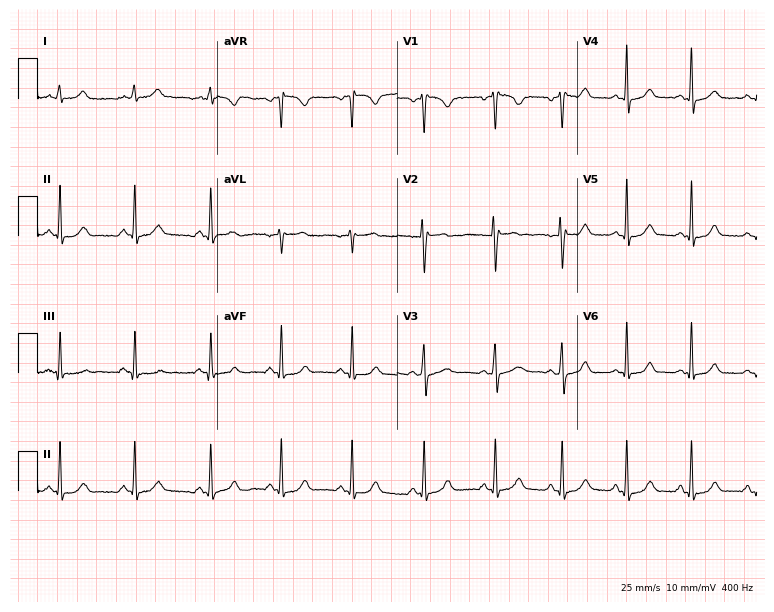
ECG — a 23-year-old woman. Labelled as a normal ECG.